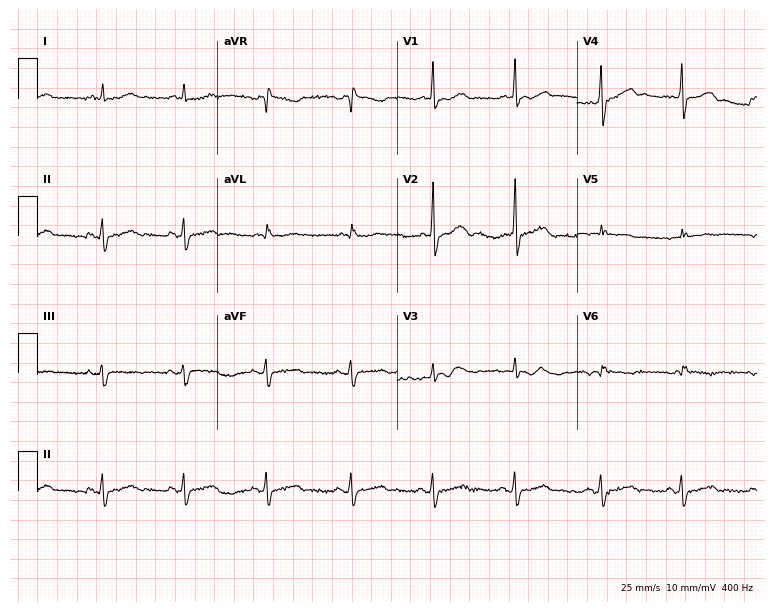
Standard 12-lead ECG recorded from a male, 60 years old. None of these six findings is recorded: first-degree AV block, right bundle branch block, left bundle branch block, sinus bradycardia, atrial fibrillation, sinus tachycardia. Other findings, if any, are not listed.